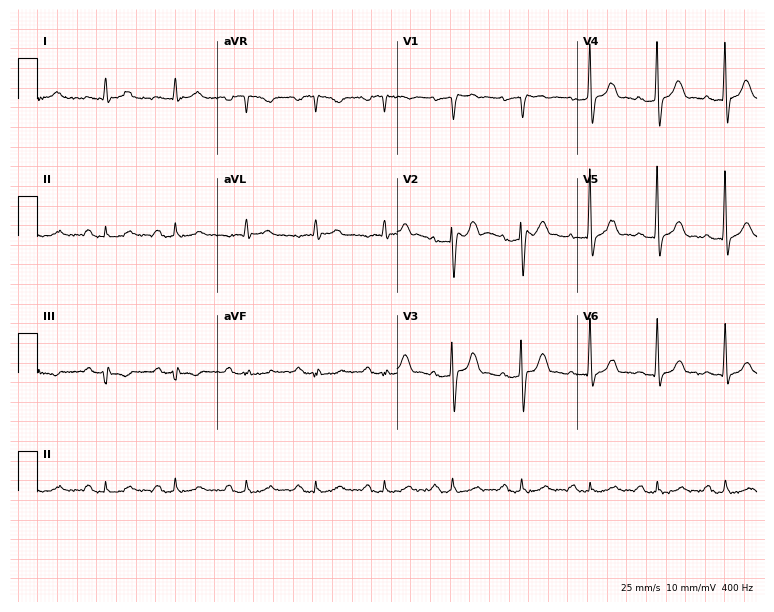
Resting 12-lead electrocardiogram (7.3-second recording at 400 Hz). Patient: a male, 70 years old. None of these six findings is recorded: first-degree AV block, right bundle branch block (RBBB), left bundle branch block (LBBB), sinus bradycardia, atrial fibrillation (AF), sinus tachycardia.